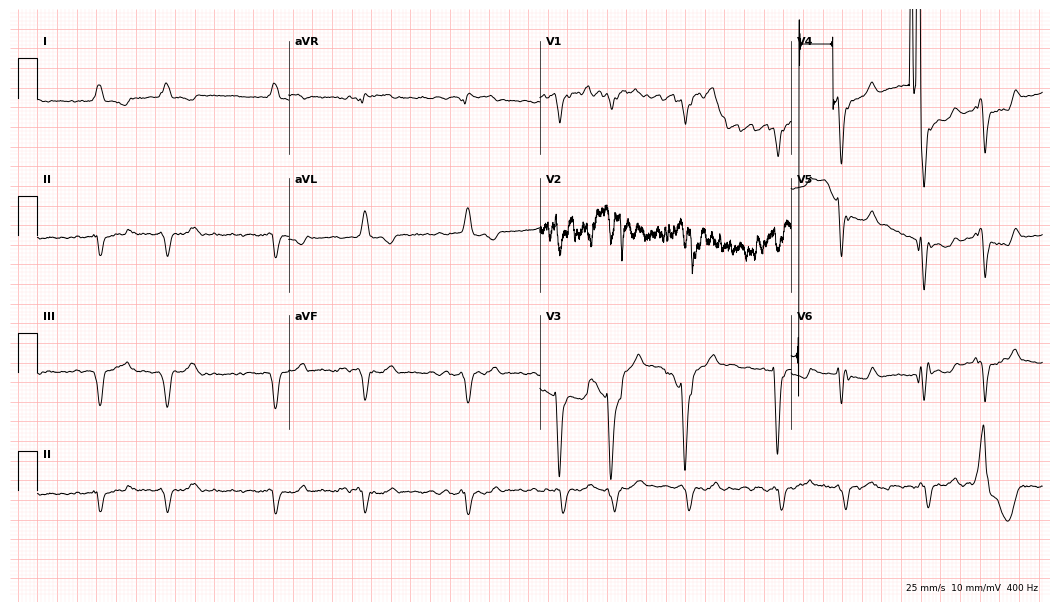
Electrocardiogram (10.2-second recording at 400 Hz), a man, 74 years old. Of the six screened findings (first-degree AV block, right bundle branch block, left bundle branch block, sinus bradycardia, atrial fibrillation, sinus tachycardia), none is recorded.